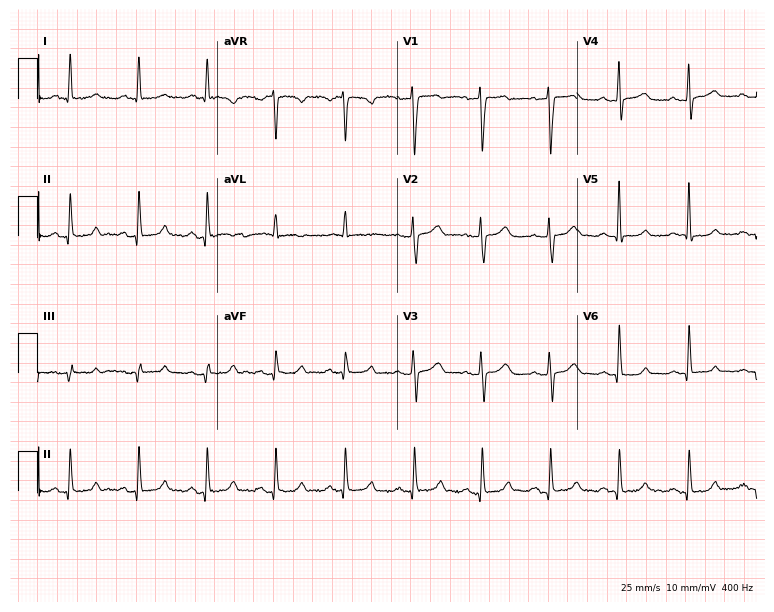
Resting 12-lead electrocardiogram (7.3-second recording at 400 Hz). Patient: a female, 41 years old. None of these six findings is recorded: first-degree AV block, right bundle branch block, left bundle branch block, sinus bradycardia, atrial fibrillation, sinus tachycardia.